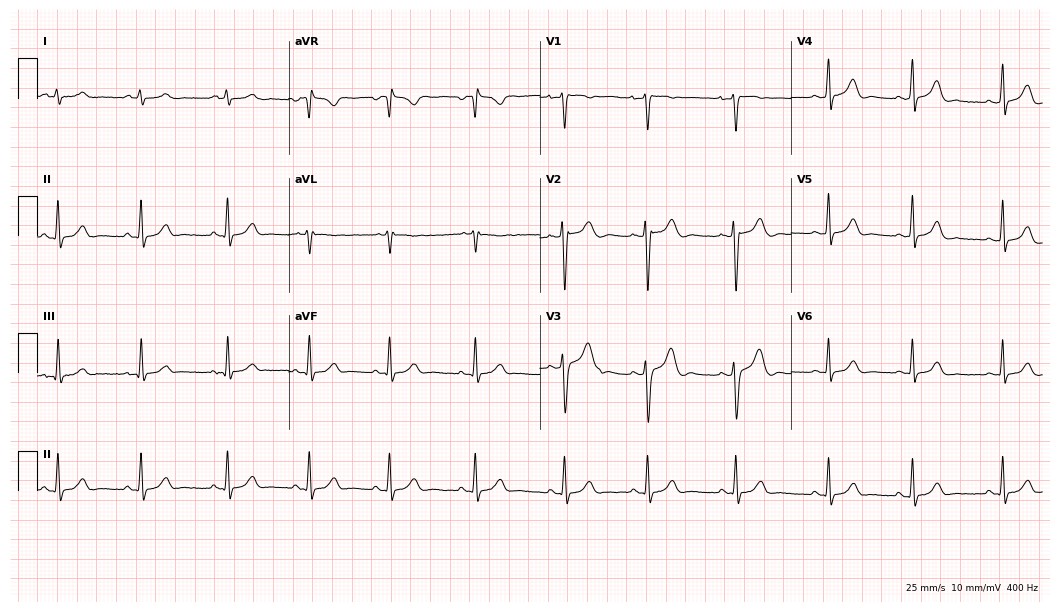
Electrocardiogram (10.2-second recording at 400 Hz), a 32-year-old woman. Of the six screened findings (first-degree AV block, right bundle branch block (RBBB), left bundle branch block (LBBB), sinus bradycardia, atrial fibrillation (AF), sinus tachycardia), none is recorded.